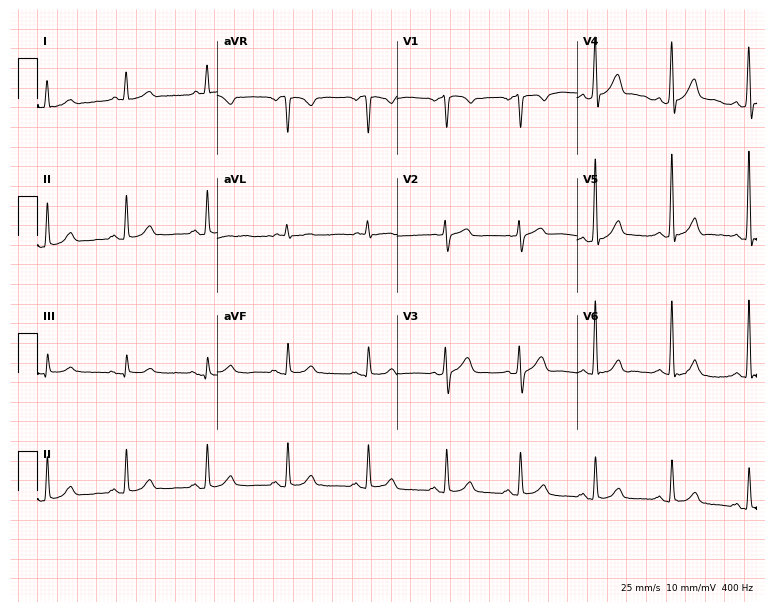
12-lead ECG from a man, 57 years old (7.3-second recording at 400 Hz). No first-degree AV block, right bundle branch block (RBBB), left bundle branch block (LBBB), sinus bradycardia, atrial fibrillation (AF) or sinus tachycardia recorded for this tracing. Other findings, if any, are not listed.